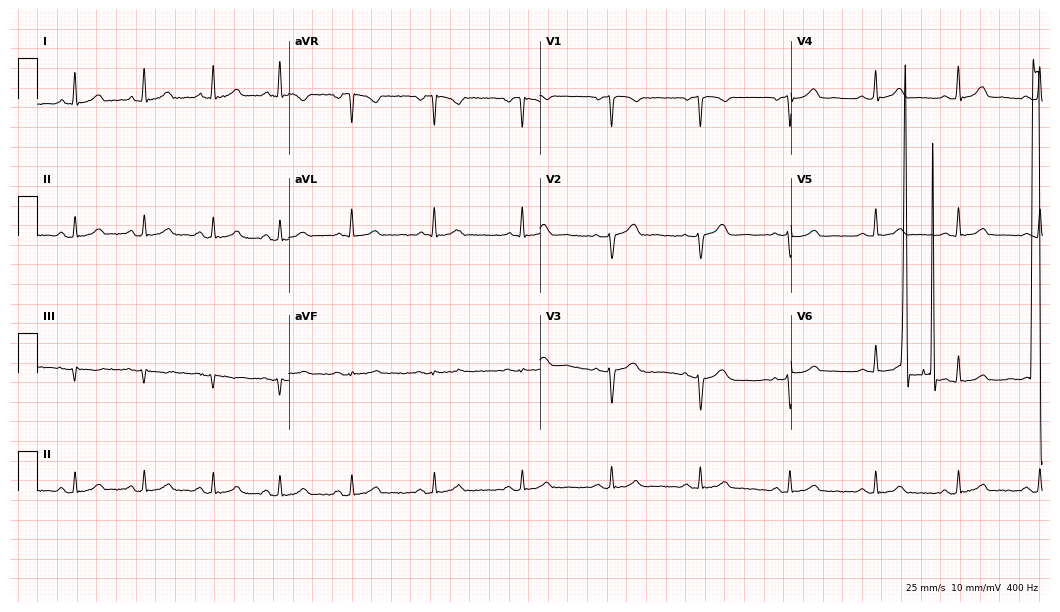
Resting 12-lead electrocardiogram. Patient: a 44-year-old woman. Read as a normal ECG.